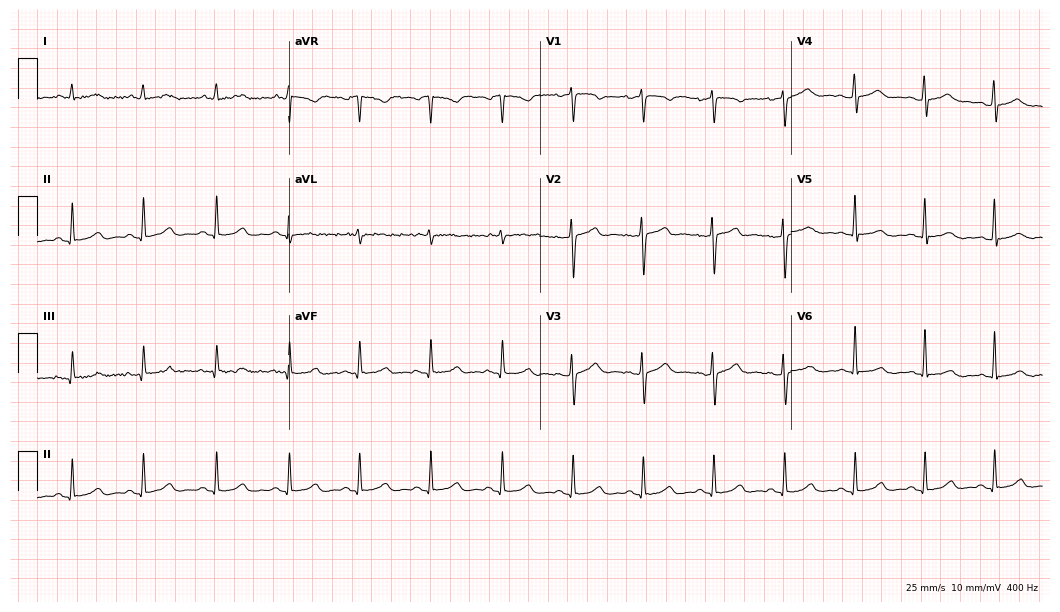
ECG (10.2-second recording at 400 Hz) — a 33-year-old woman. Labelled as a normal ECG.